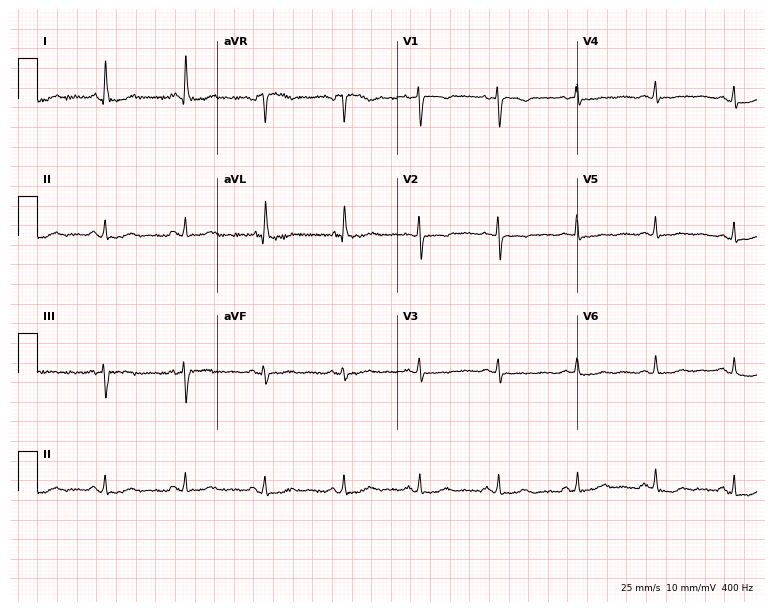
12-lead ECG from a 48-year-old female patient. No first-degree AV block, right bundle branch block, left bundle branch block, sinus bradycardia, atrial fibrillation or sinus tachycardia recorded for this tracing. Findings outside these six are not listed.